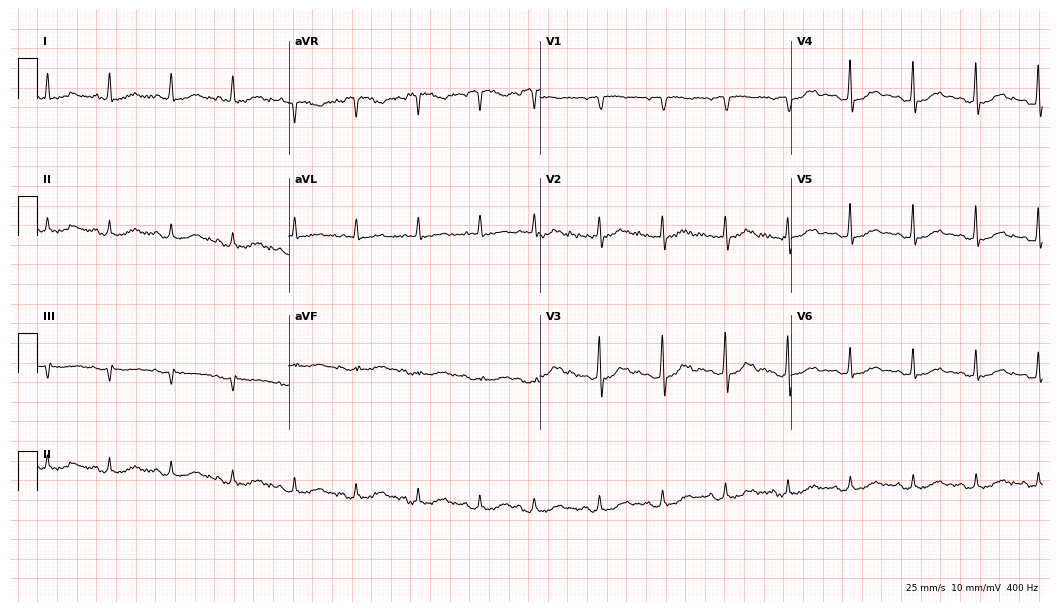
12-lead ECG from an 80-year-old female patient. Labelled as a normal ECG.